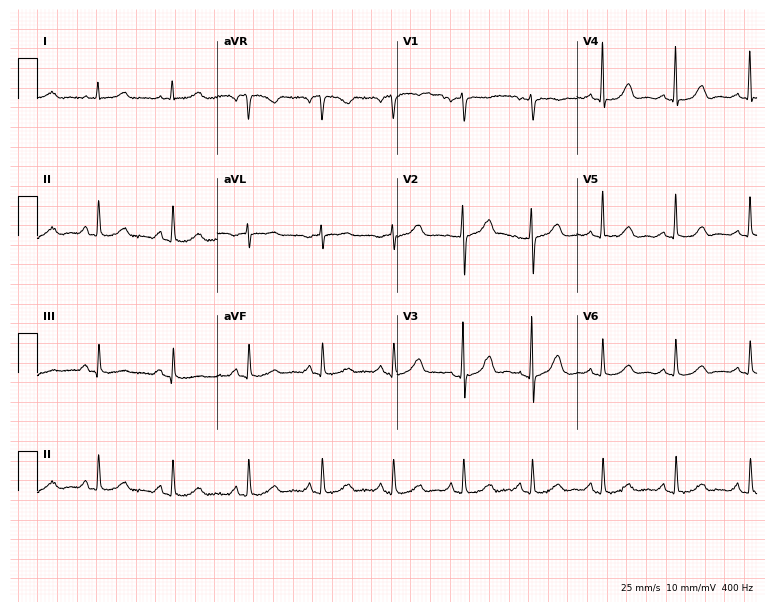
Resting 12-lead electrocardiogram. Patient: a female, 48 years old. Read as a normal ECG.